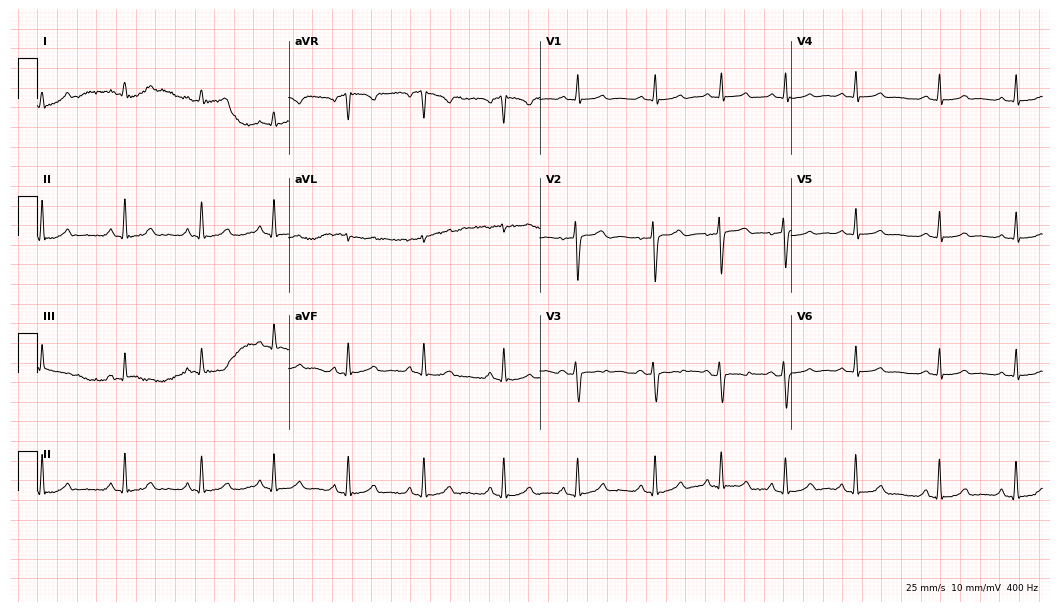
ECG (10.2-second recording at 400 Hz) — a 17-year-old female patient. Labelled as a normal ECG.